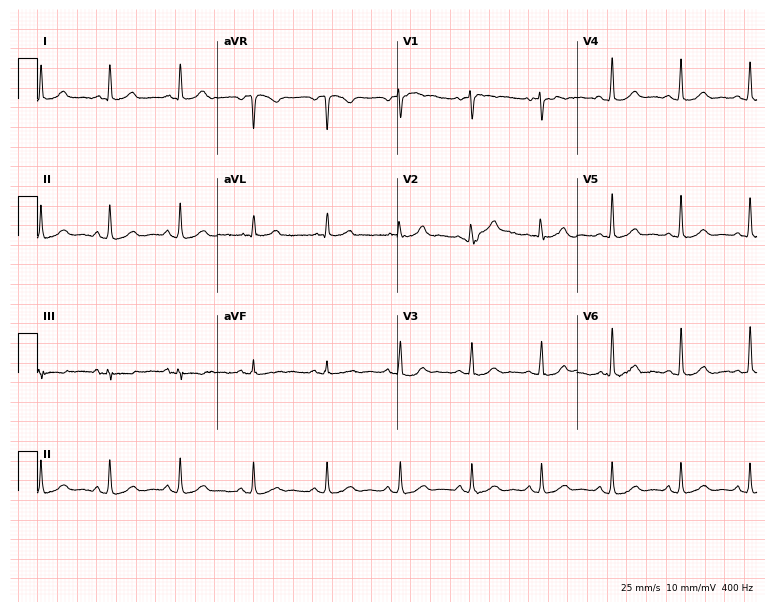
Resting 12-lead electrocardiogram (7.3-second recording at 400 Hz). Patient: a female, 61 years old. None of these six findings is recorded: first-degree AV block, right bundle branch block (RBBB), left bundle branch block (LBBB), sinus bradycardia, atrial fibrillation (AF), sinus tachycardia.